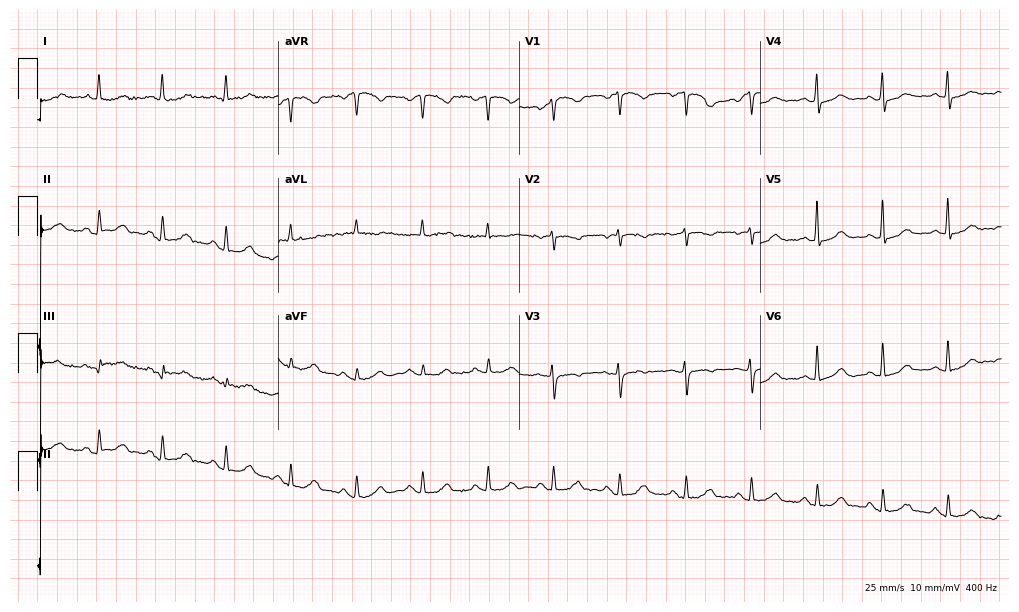
Electrocardiogram (9.8-second recording at 400 Hz), a 66-year-old woman. Overall reading on record: normal ECG.